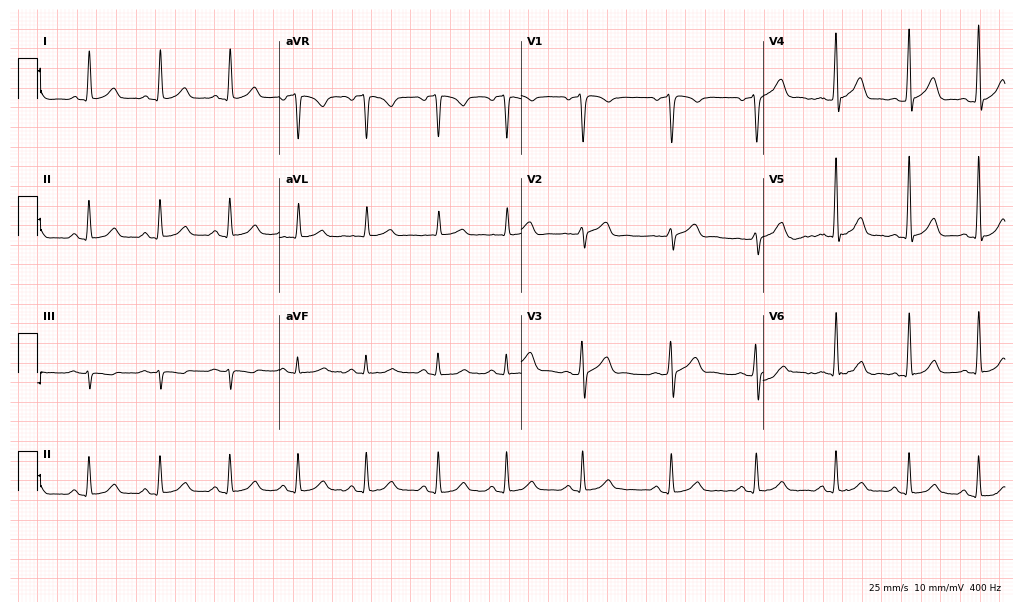
12-lead ECG from a 51-year-old male patient. Recorded interpretation: within normal limits.